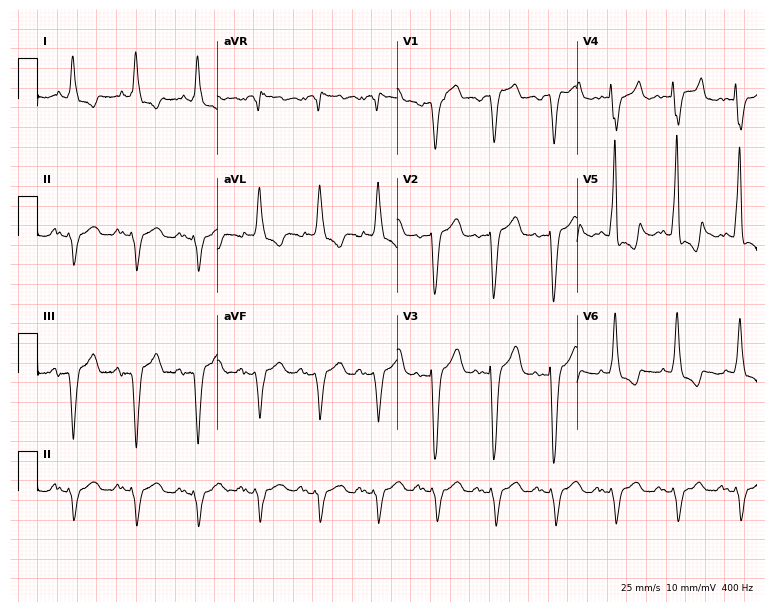
Standard 12-lead ECG recorded from an 84-year-old man (7.3-second recording at 400 Hz). The tracing shows left bundle branch block.